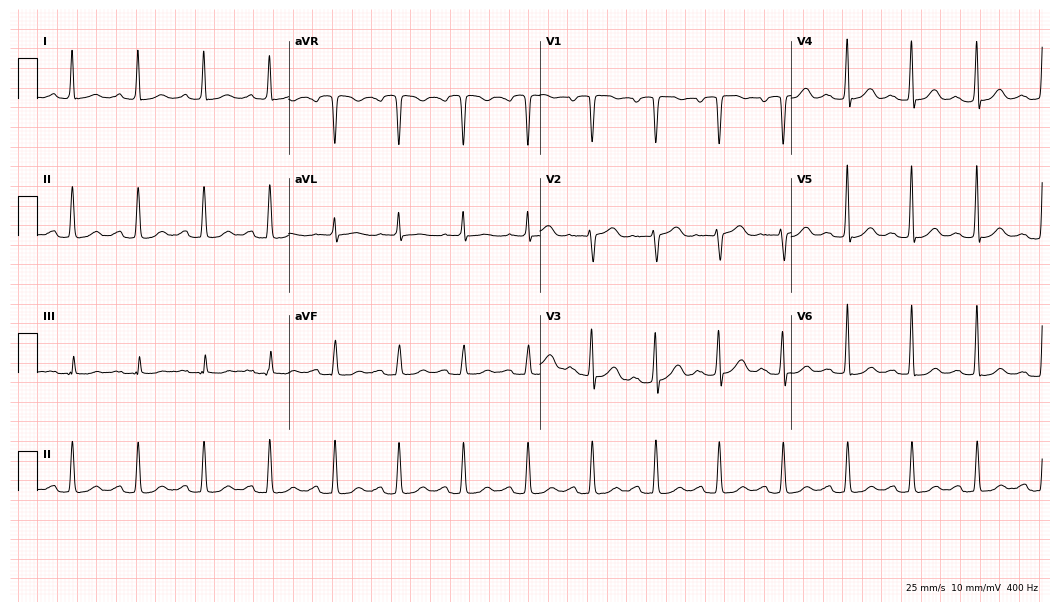
ECG — a 73-year-old woman. Labelled as a normal ECG.